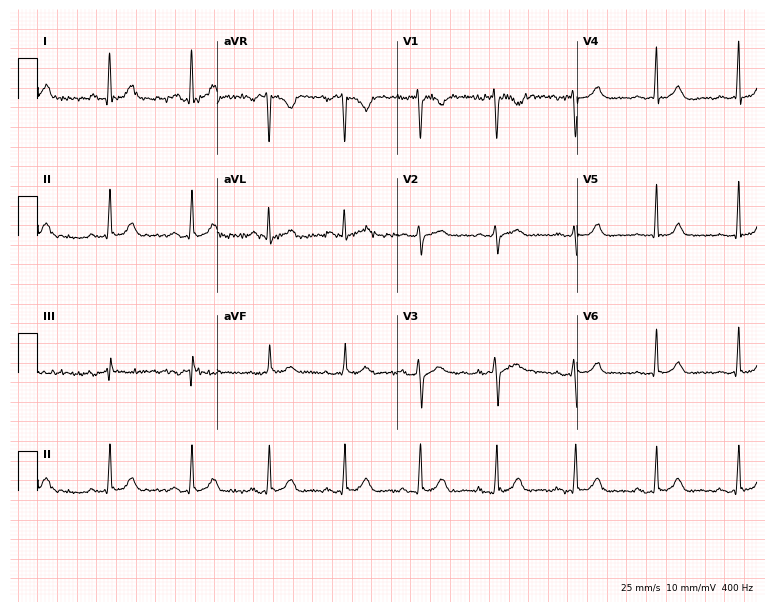
Standard 12-lead ECG recorded from a female patient, 38 years old (7.3-second recording at 400 Hz). Read as a normal ECG.